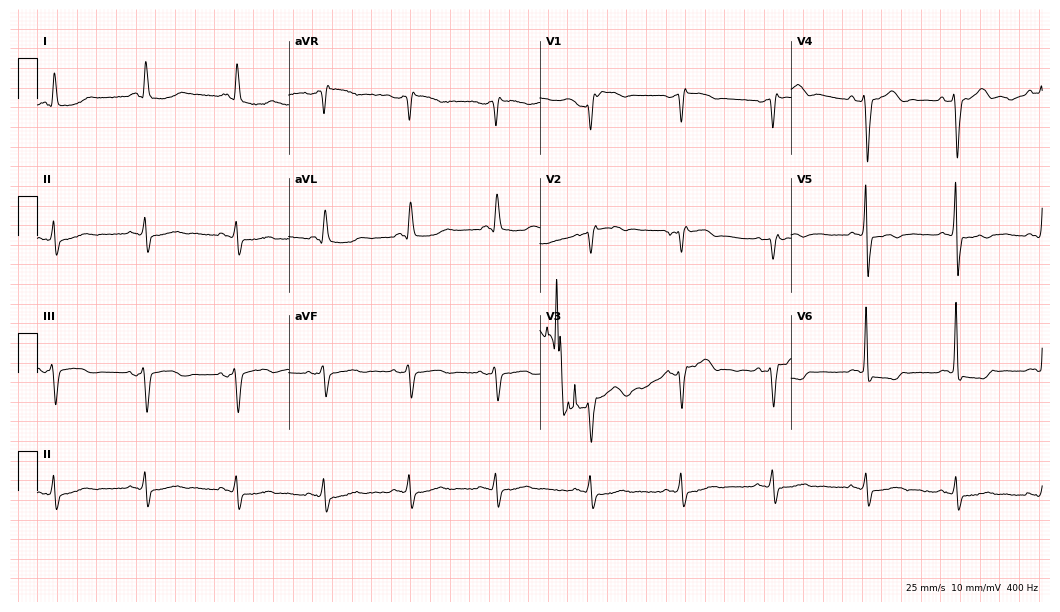
ECG — a woman, 32 years old. Screened for six findings — first-degree AV block, right bundle branch block (RBBB), left bundle branch block (LBBB), sinus bradycardia, atrial fibrillation (AF), sinus tachycardia — none is recorded. Findings outside these six are not listed.